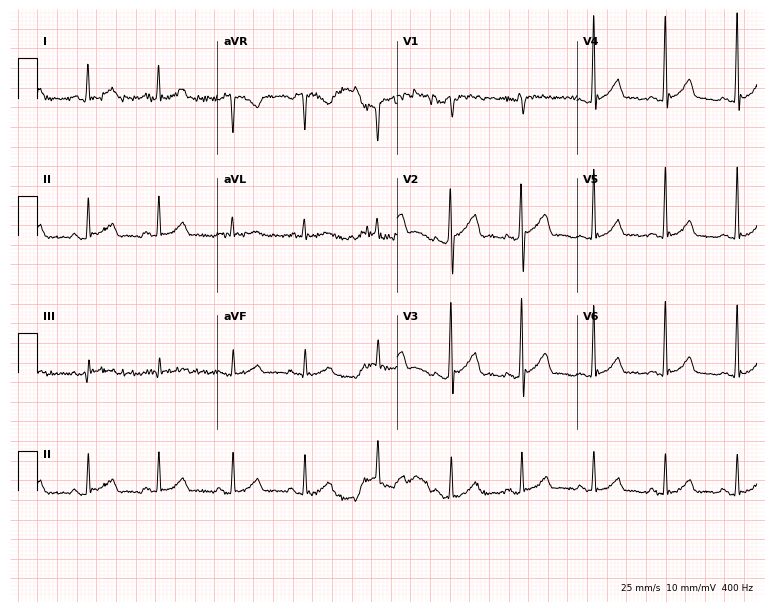
ECG — a 33-year-old male patient. Screened for six findings — first-degree AV block, right bundle branch block, left bundle branch block, sinus bradycardia, atrial fibrillation, sinus tachycardia — none is recorded.